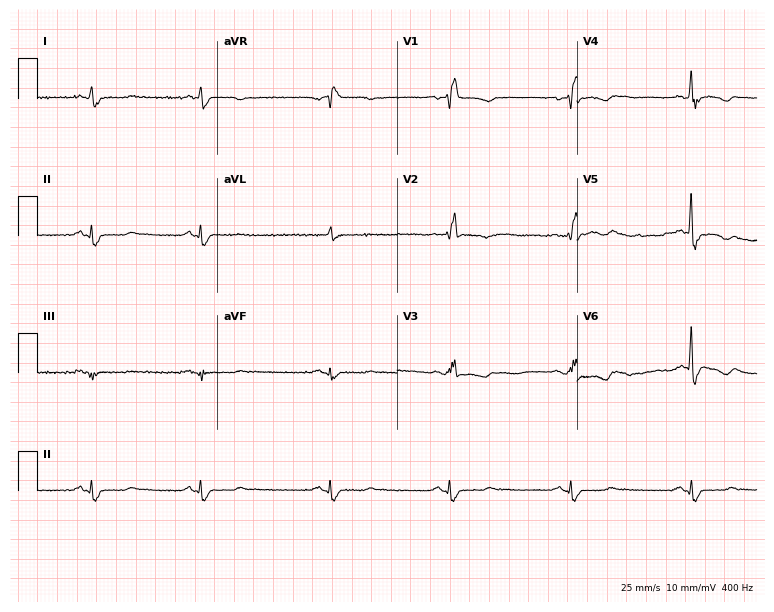
Resting 12-lead electrocardiogram. Patient: a male, 66 years old. The tracing shows right bundle branch block (RBBB).